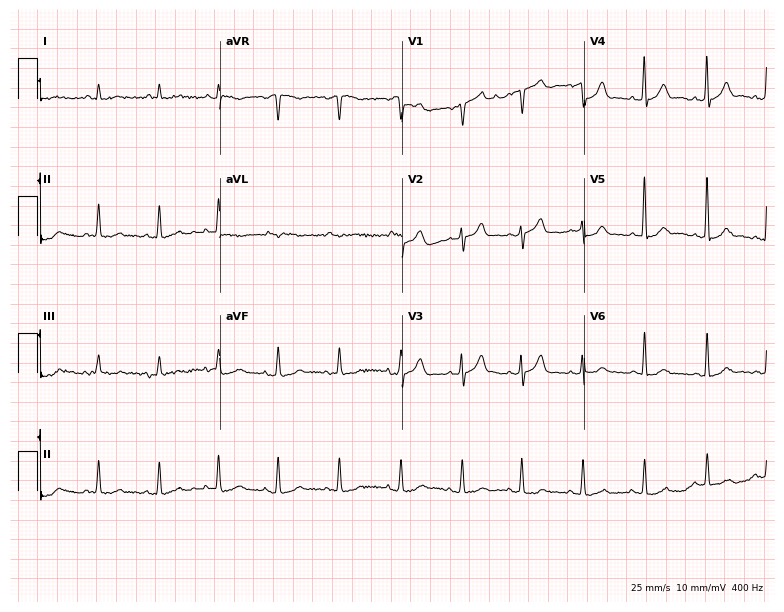
Electrocardiogram, a man, 80 years old. Of the six screened findings (first-degree AV block, right bundle branch block, left bundle branch block, sinus bradycardia, atrial fibrillation, sinus tachycardia), none is recorded.